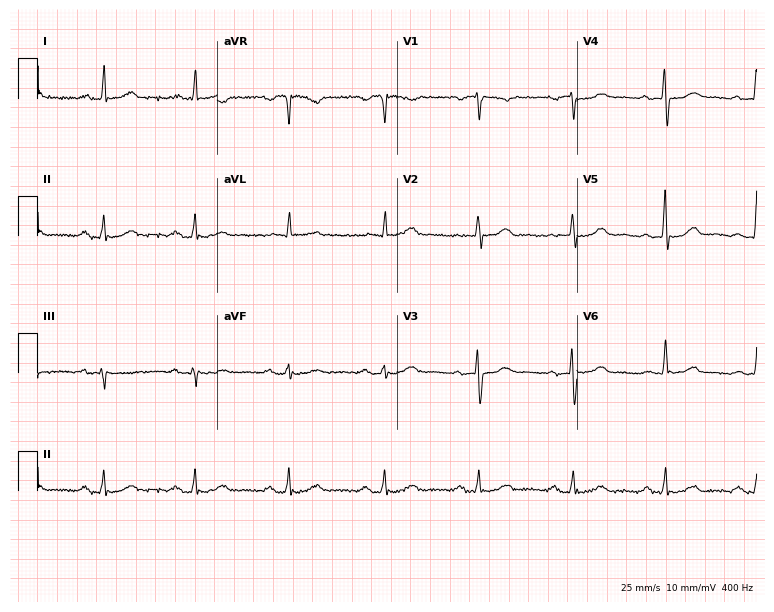
Standard 12-lead ECG recorded from a woman, 62 years old (7.3-second recording at 400 Hz). Read as a normal ECG.